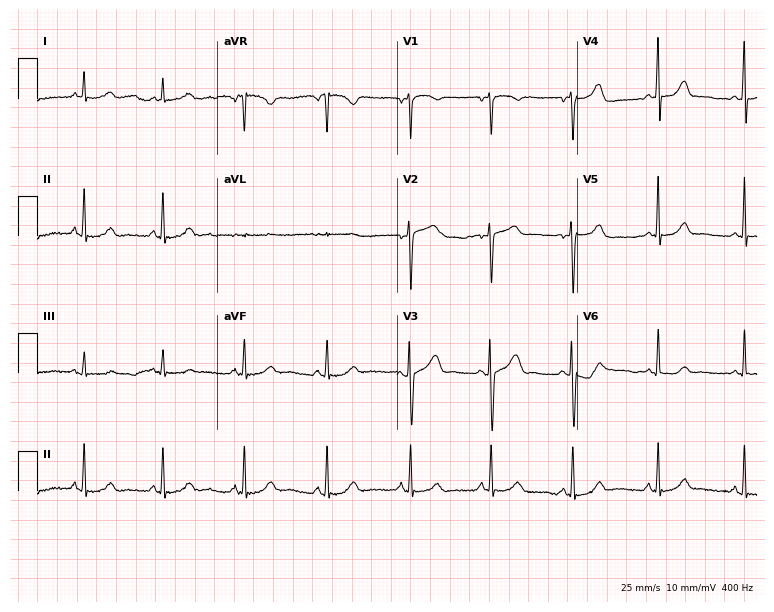
Standard 12-lead ECG recorded from a 34-year-old female (7.3-second recording at 400 Hz). None of these six findings is recorded: first-degree AV block, right bundle branch block, left bundle branch block, sinus bradycardia, atrial fibrillation, sinus tachycardia.